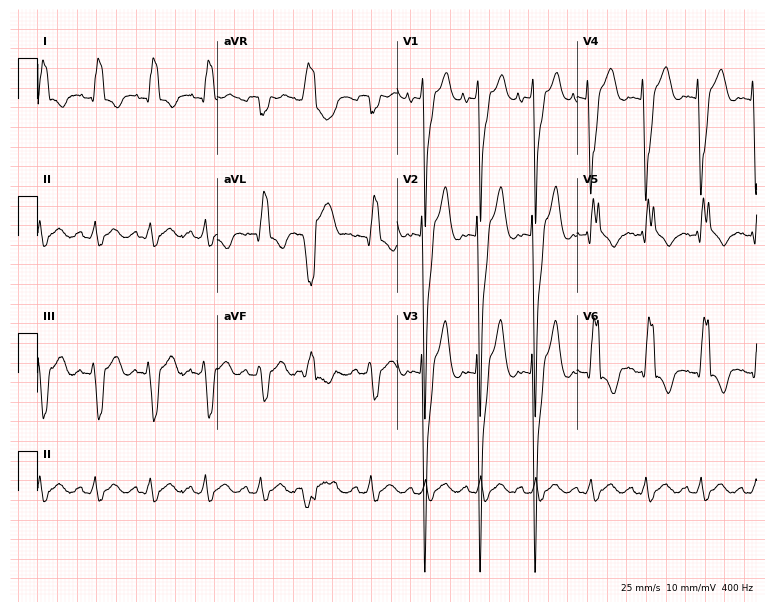
Resting 12-lead electrocardiogram. Patient: a man, 31 years old. The tracing shows left bundle branch block (LBBB), sinus tachycardia (a sinus rate of 100 beats per minute or more).